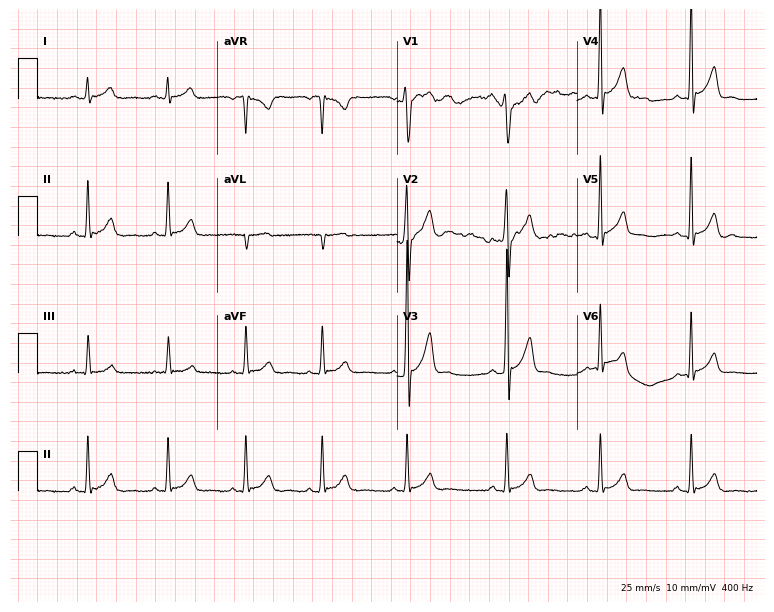
ECG (7.3-second recording at 400 Hz) — a 20-year-old male patient. Labelled as a normal ECG.